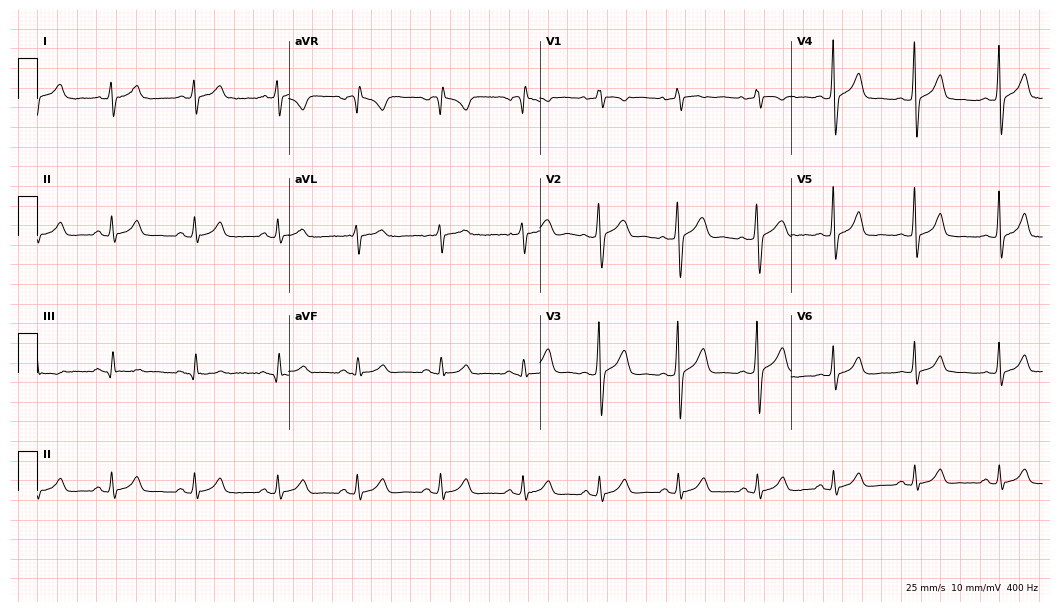
Electrocardiogram, a 32-year-old male patient. Overall reading on record: normal ECG.